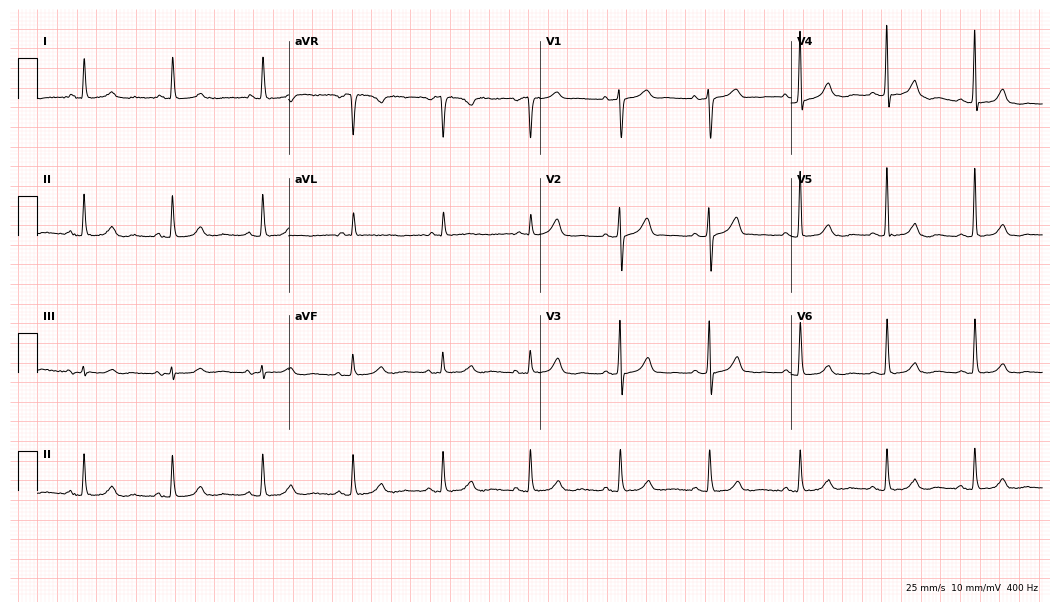
Standard 12-lead ECG recorded from a female patient, 72 years old (10.2-second recording at 400 Hz). Read as a normal ECG.